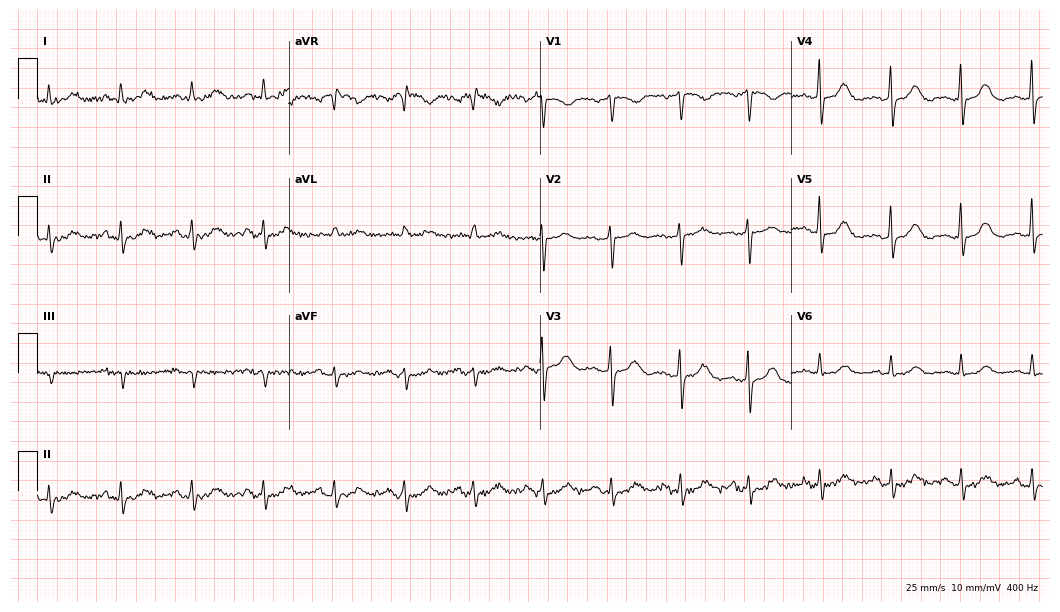
ECG (10.2-second recording at 400 Hz) — a female patient, 61 years old. Screened for six findings — first-degree AV block, right bundle branch block (RBBB), left bundle branch block (LBBB), sinus bradycardia, atrial fibrillation (AF), sinus tachycardia — none is recorded. Only these six findings were labelled.